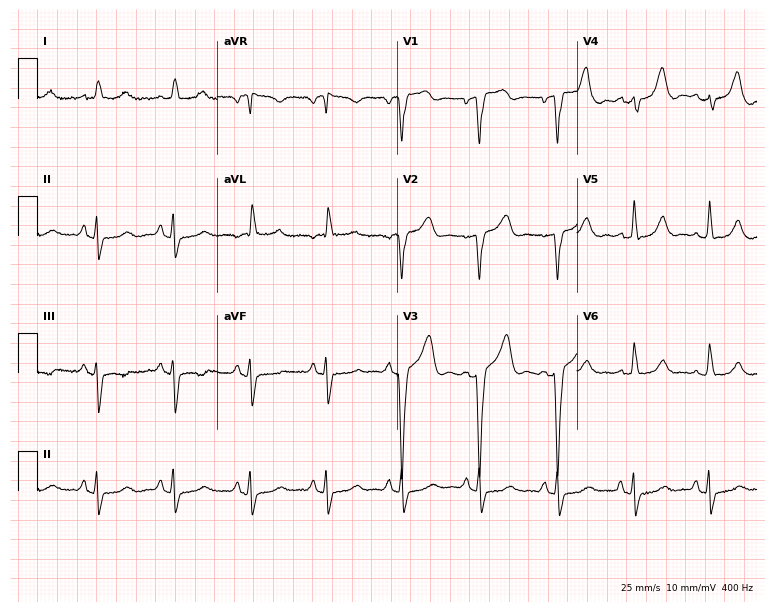
Resting 12-lead electrocardiogram (7.3-second recording at 400 Hz). Patient: an 81-year-old male. None of these six findings is recorded: first-degree AV block, right bundle branch block, left bundle branch block, sinus bradycardia, atrial fibrillation, sinus tachycardia. Other findings, if any, are not listed.